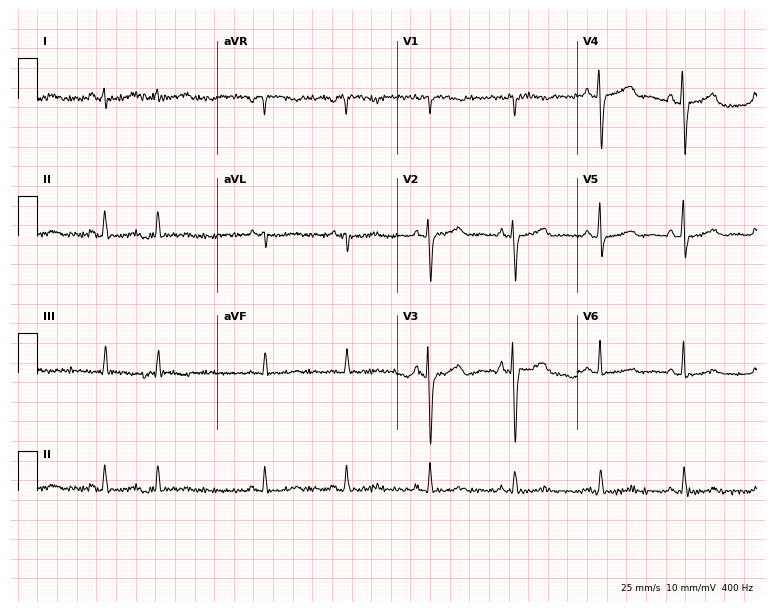
12-lead ECG from a 58-year-old female patient. No first-degree AV block, right bundle branch block, left bundle branch block, sinus bradycardia, atrial fibrillation or sinus tachycardia recorded for this tracing. Findings outside these six are not listed.